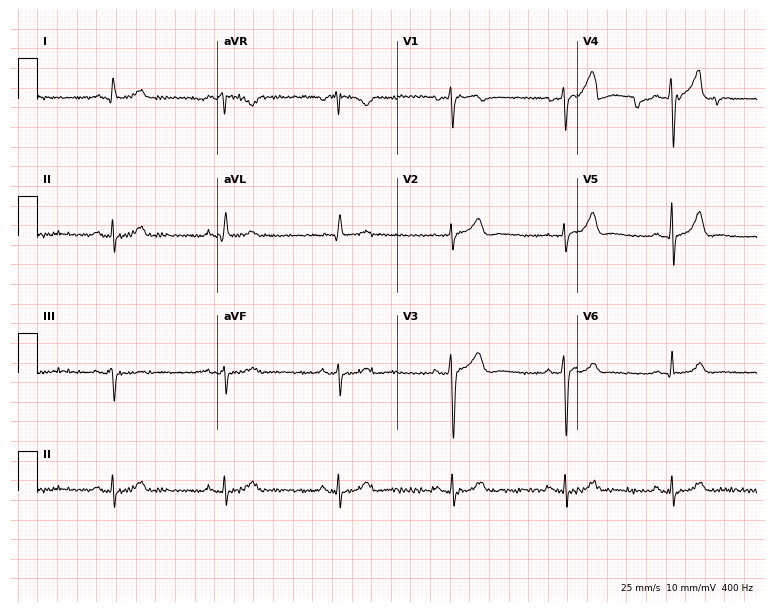
12-lead ECG from a 51-year-old man. Labelled as a normal ECG.